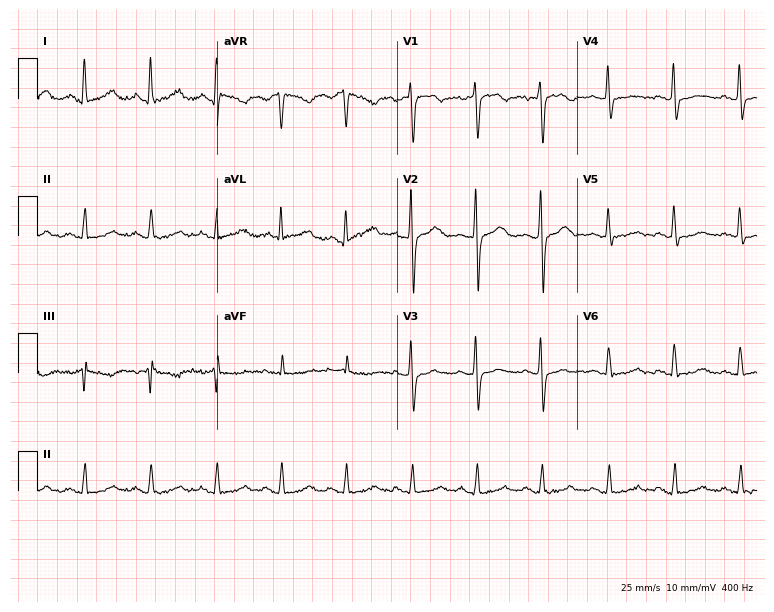
12-lead ECG from a 49-year-old female patient. Labelled as a normal ECG.